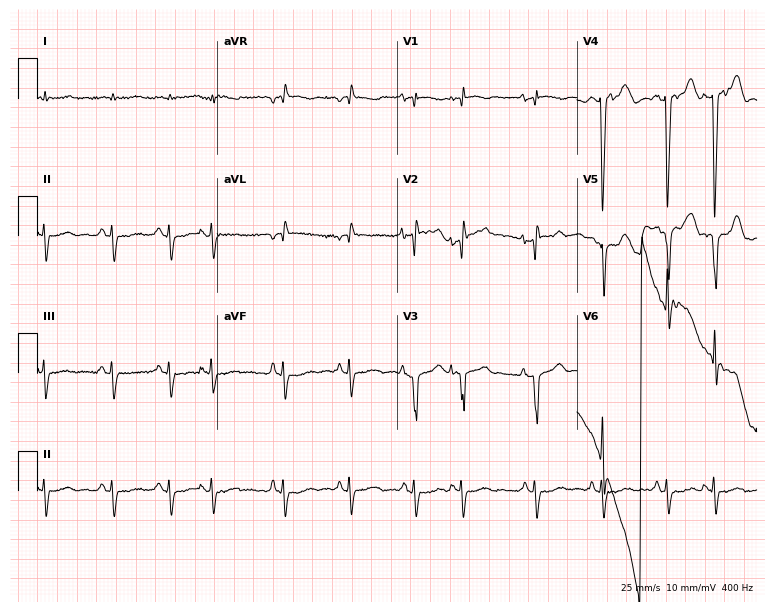
Resting 12-lead electrocardiogram. Patient: a woman, 79 years old. None of these six findings is recorded: first-degree AV block, right bundle branch block (RBBB), left bundle branch block (LBBB), sinus bradycardia, atrial fibrillation (AF), sinus tachycardia. Only these six findings were labelled.